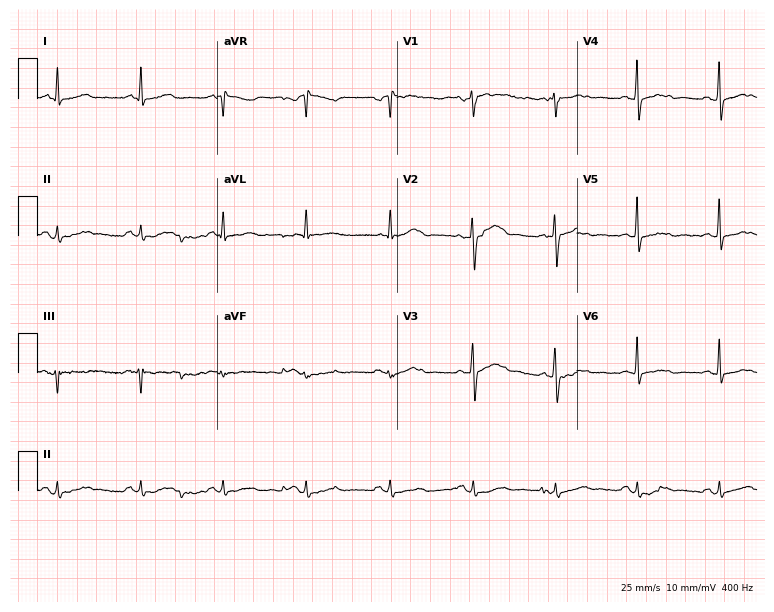
Resting 12-lead electrocardiogram (7.3-second recording at 400 Hz). Patient: a woman, 59 years old. None of these six findings is recorded: first-degree AV block, right bundle branch block, left bundle branch block, sinus bradycardia, atrial fibrillation, sinus tachycardia. Only these six findings were labelled.